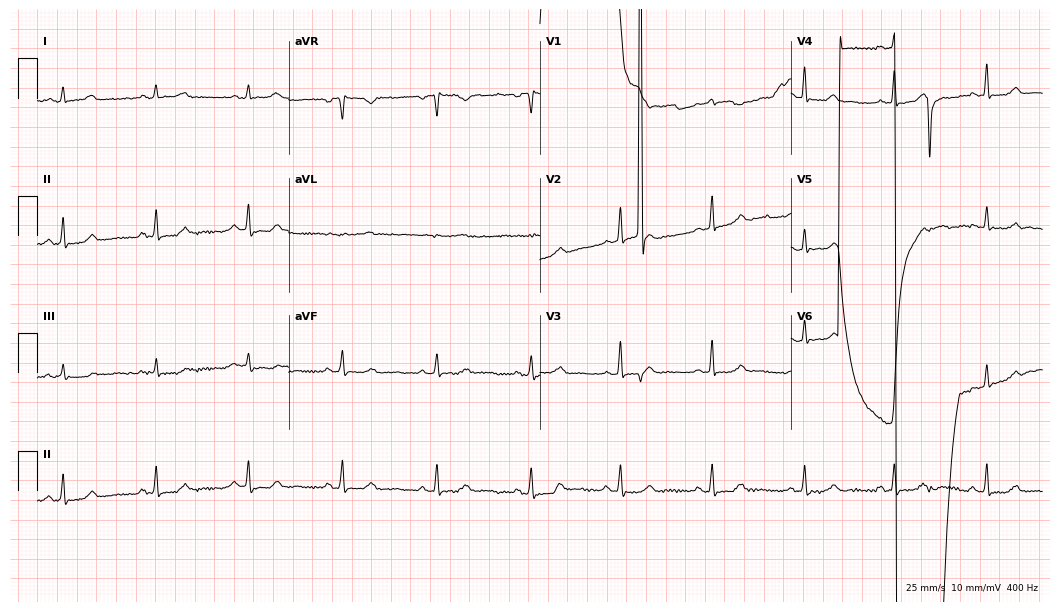
Standard 12-lead ECG recorded from a woman, 36 years old. None of these six findings is recorded: first-degree AV block, right bundle branch block (RBBB), left bundle branch block (LBBB), sinus bradycardia, atrial fibrillation (AF), sinus tachycardia.